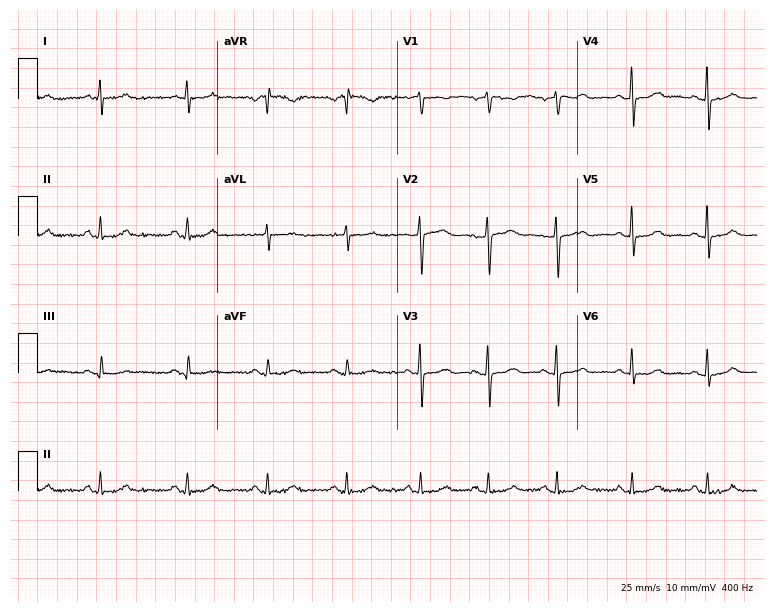
Electrocardiogram (7.3-second recording at 400 Hz), a 60-year-old female patient. Overall reading on record: normal ECG.